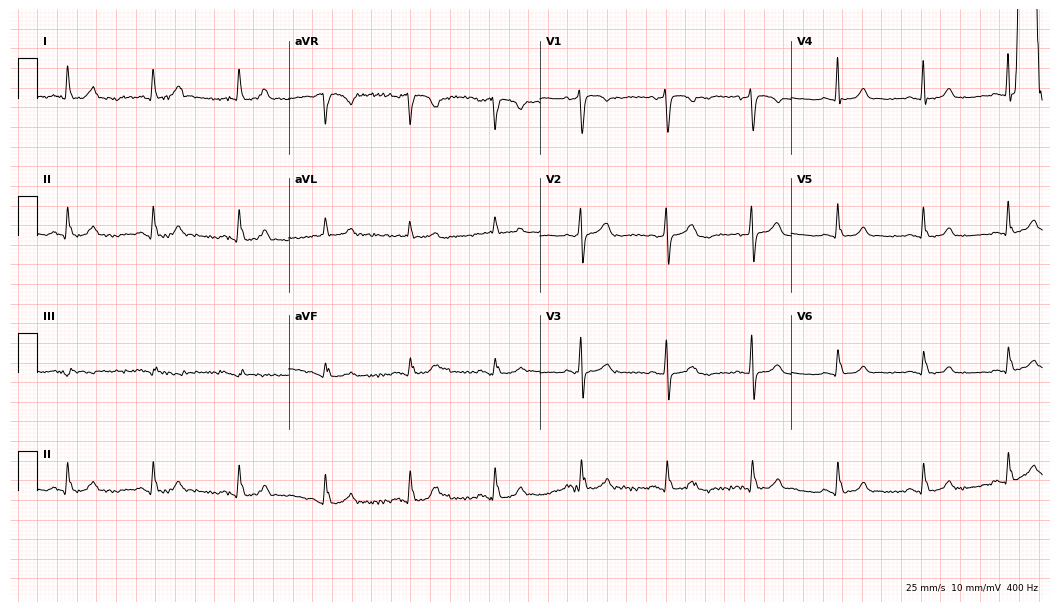
Electrocardiogram, a 76-year-old female. Of the six screened findings (first-degree AV block, right bundle branch block, left bundle branch block, sinus bradycardia, atrial fibrillation, sinus tachycardia), none is recorded. Other findings, if any, are not listed.